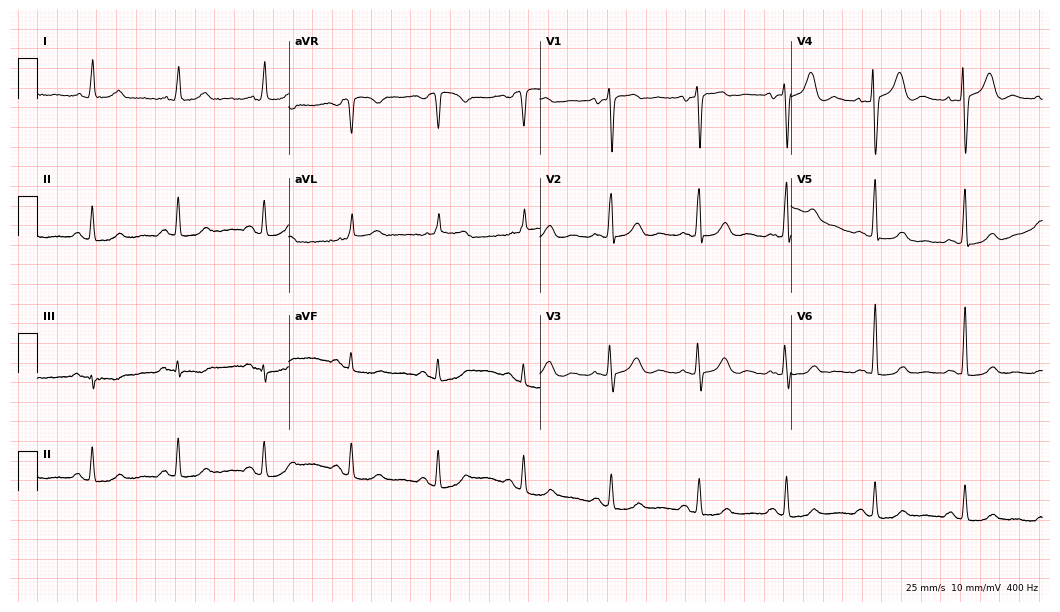
Resting 12-lead electrocardiogram. Patient: a 77-year-old woman. None of these six findings is recorded: first-degree AV block, right bundle branch block, left bundle branch block, sinus bradycardia, atrial fibrillation, sinus tachycardia. Other findings, if any, are not listed.